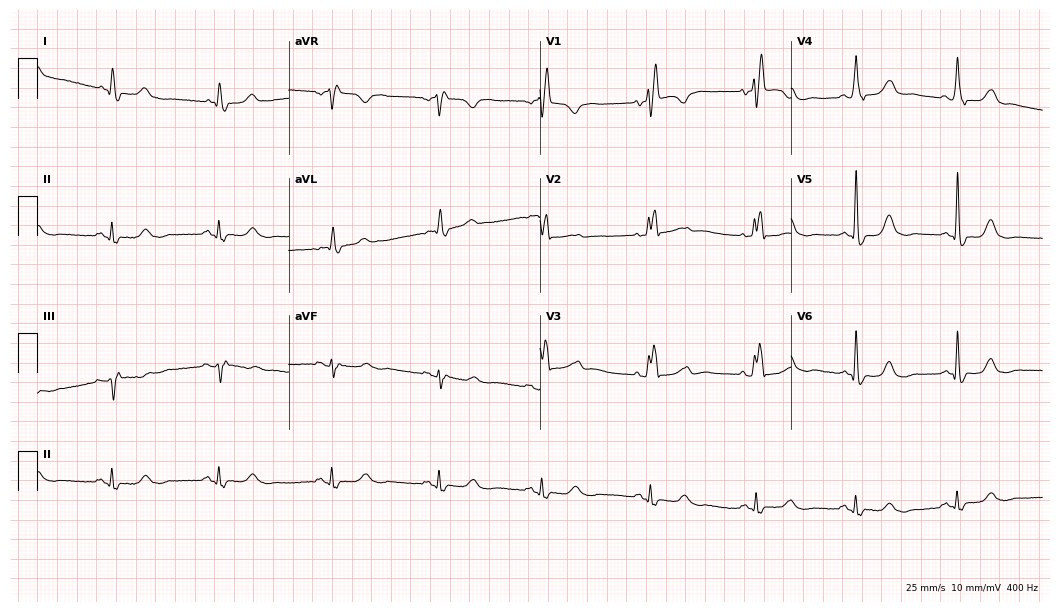
12-lead ECG from a 79-year-old woman. Screened for six findings — first-degree AV block, right bundle branch block, left bundle branch block, sinus bradycardia, atrial fibrillation, sinus tachycardia — none is recorded. Other findings, if any, are not listed.